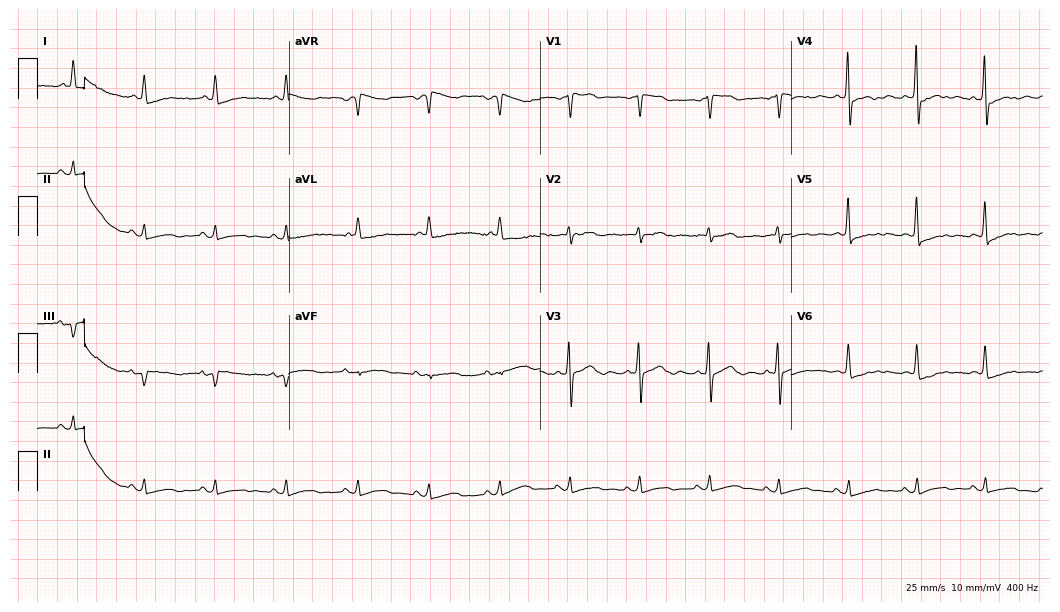
Standard 12-lead ECG recorded from a 75-year-old female patient (10.2-second recording at 400 Hz). None of these six findings is recorded: first-degree AV block, right bundle branch block, left bundle branch block, sinus bradycardia, atrial fibrillation, sinus tachycardia. Other findings, if any, are not listed.